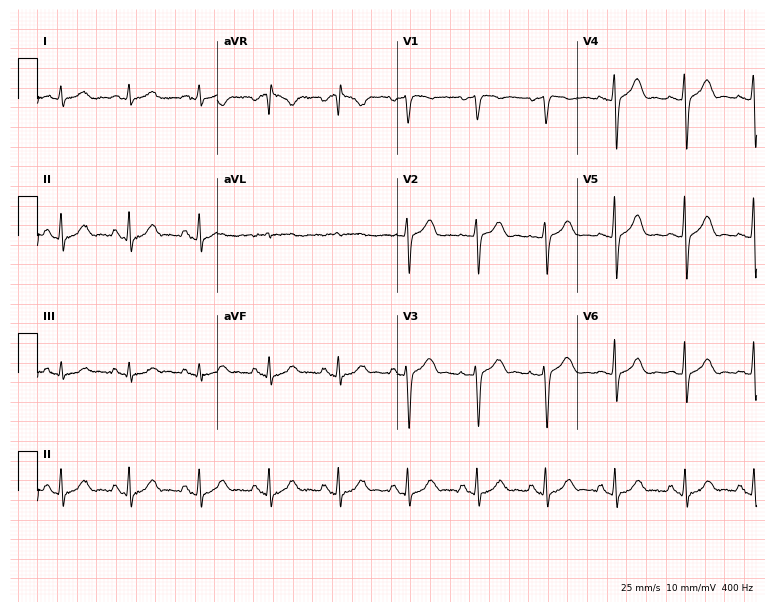
Standard 12-lead ECG recorded from a female, 43 years old (7.3-second recording at 400 Hz). Read as a normal ECG.